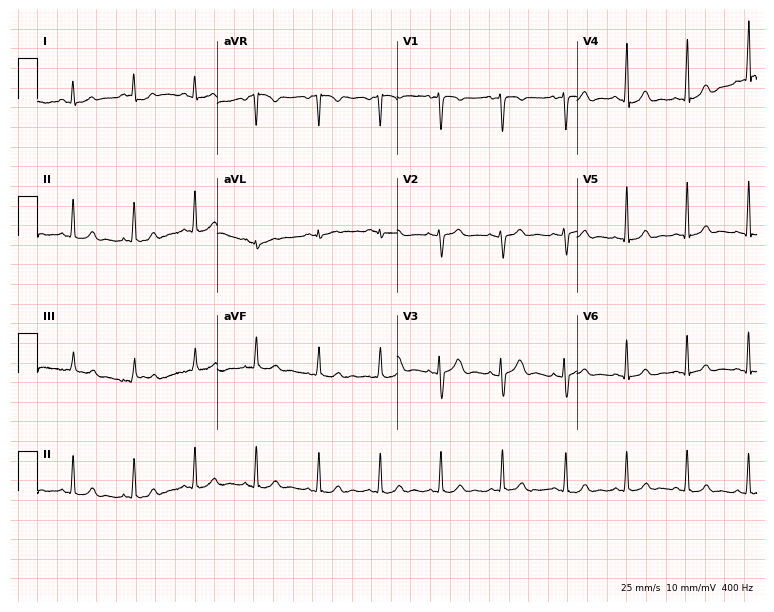
Standard 12-lead ECG recorded from a woman, 17 years old (7.3-second recording at 400 Hz). None of these six findings is recorded: first-degree AV block, right bundle branch block (RBBB), left bundle branch block (LBBB), sinus bradycardia, atrial fibrillation (AF), sinus tachycardia. Only these six findings were labelled.